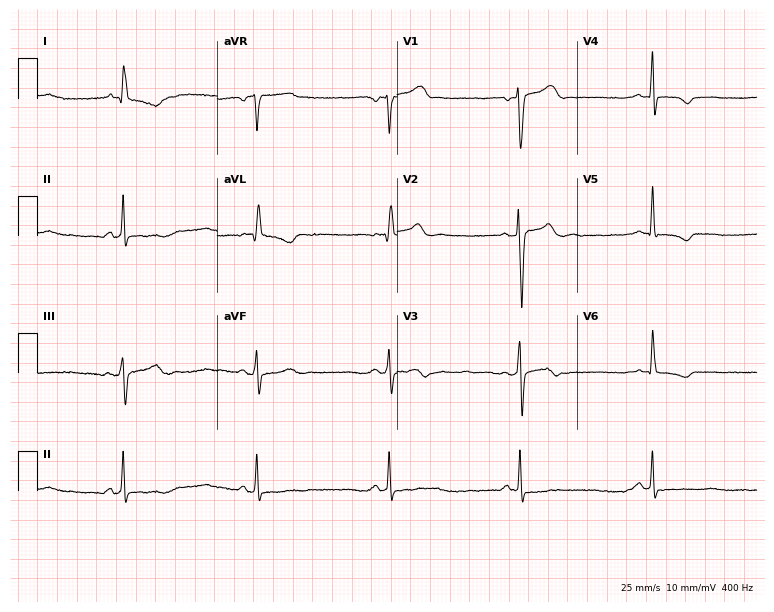
Standard 12-lead ECG recorded from a female, 79 years old. None of these six findings is recorded: first-degree AV block, right bundle branch block (RBBB), left bundle branch block (LBBB), sinus bradycardia, atrial fibrillation (AF), sinus tachycardia.